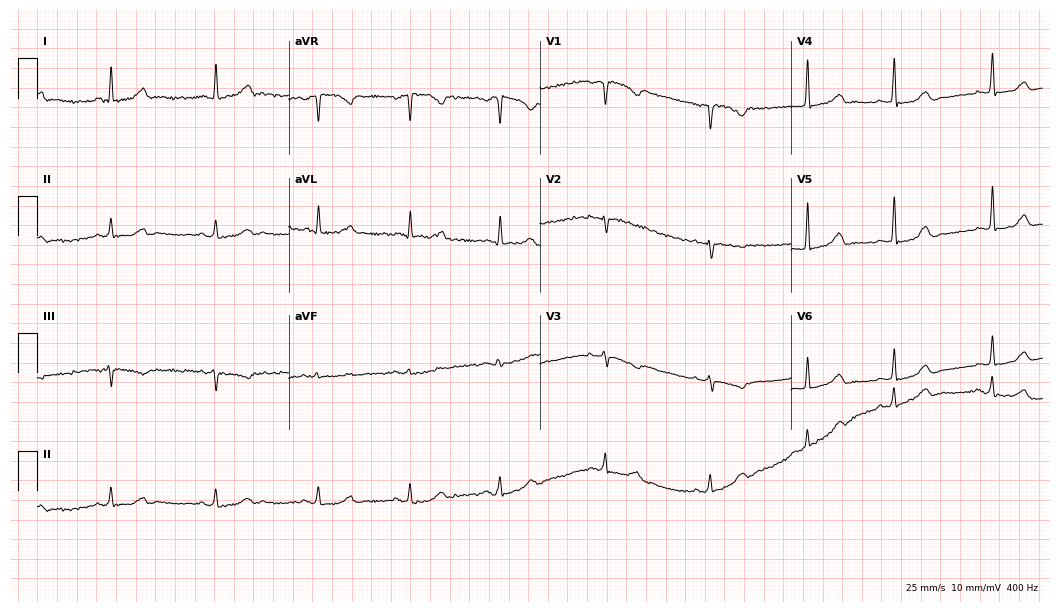
Standard 12-lead ECG recorded from a woman, 49 years old (10.2-second recording at 400 Hz). Read as a normal ECG.